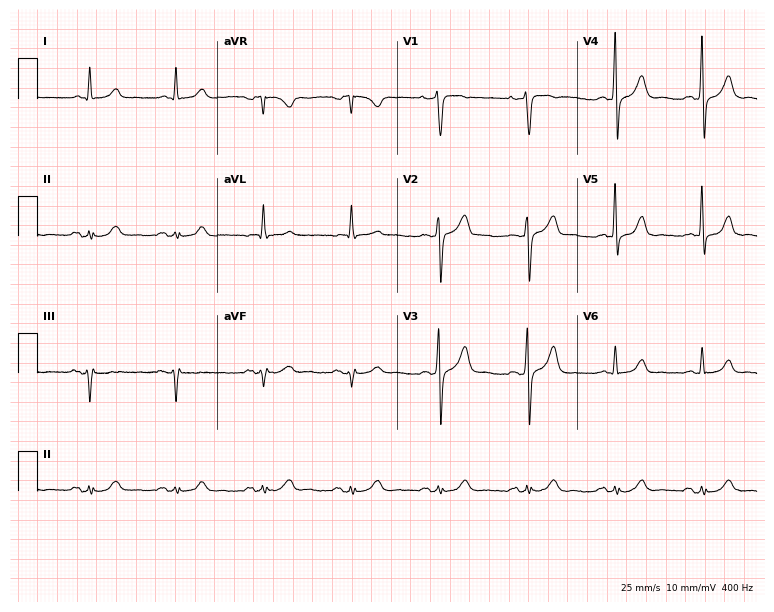
Electrocardiogram (7.3-second recording at 400 Hz), an 84-year-old male. Overall reading on record: normal ECG.